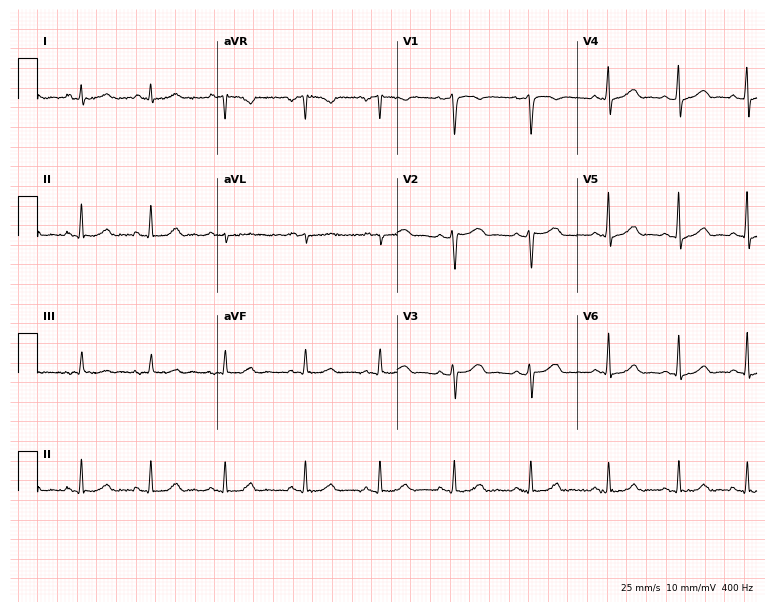
Electrocardiogram (7.3-second recording at 400 Hz), a 30-year-old woman. Of the six screened findings (first-degree AV block, right bundle branch block (RBBB), left bundle branch block (LBBB), sinus bradycardia, atrial fibrillation (AF), sinus tachycardia), none is recorded. Only these six findings were labelled.